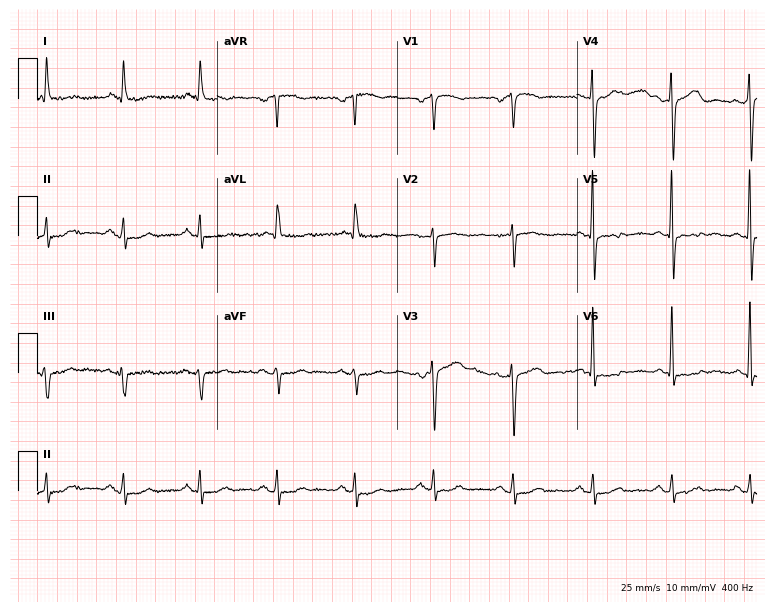
12-lead ECG (7.3-second recording at 400 Hz) from an 80-year-old male patient. Screened for six findings — first-degree AV block, right bundle branch block, left bundle branch block, sinus bradycardia, atrial fibrillation, sinus tachycardia — none is recorded.